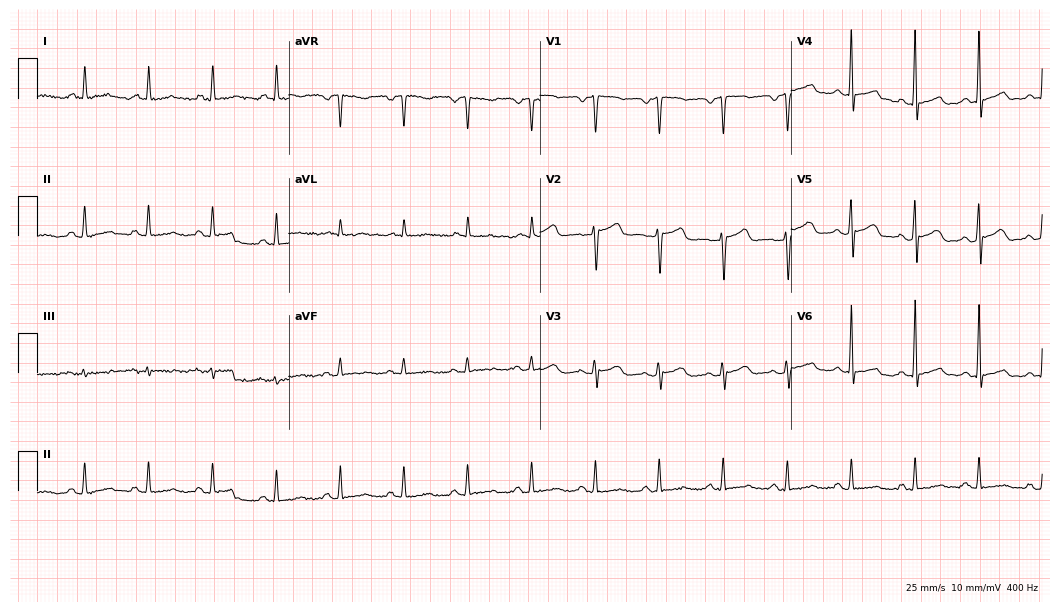
12-lead ECG from a male, 58 years old (10.2-second recording at 400 Hz). Recorded interpretation: within normal limits.